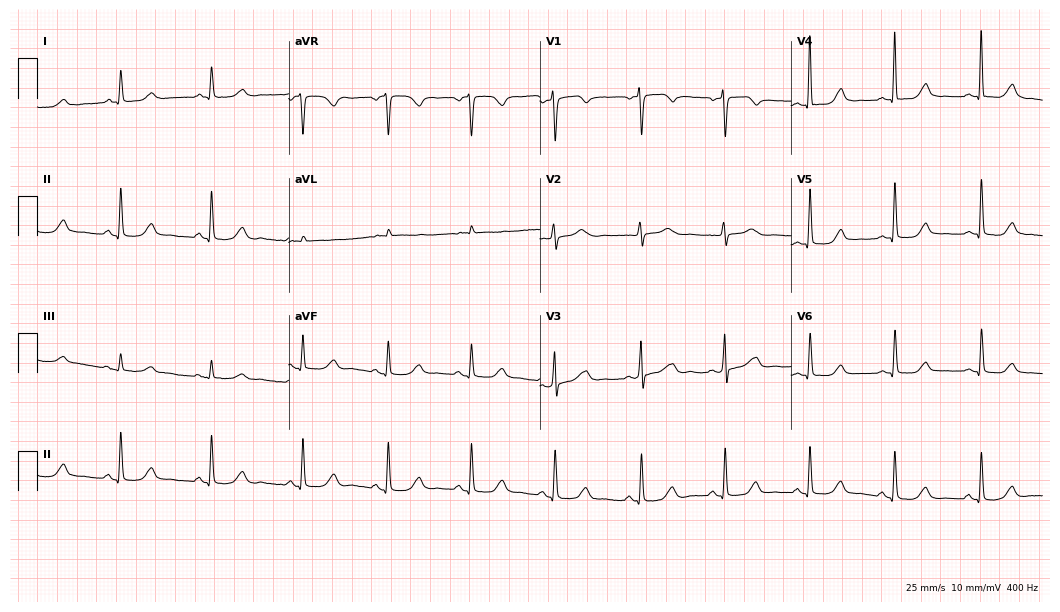
Electrocardiogram (10.2-second recording at 400 Hz), a female, 65 years old. Overall reading on record: normal ECG.